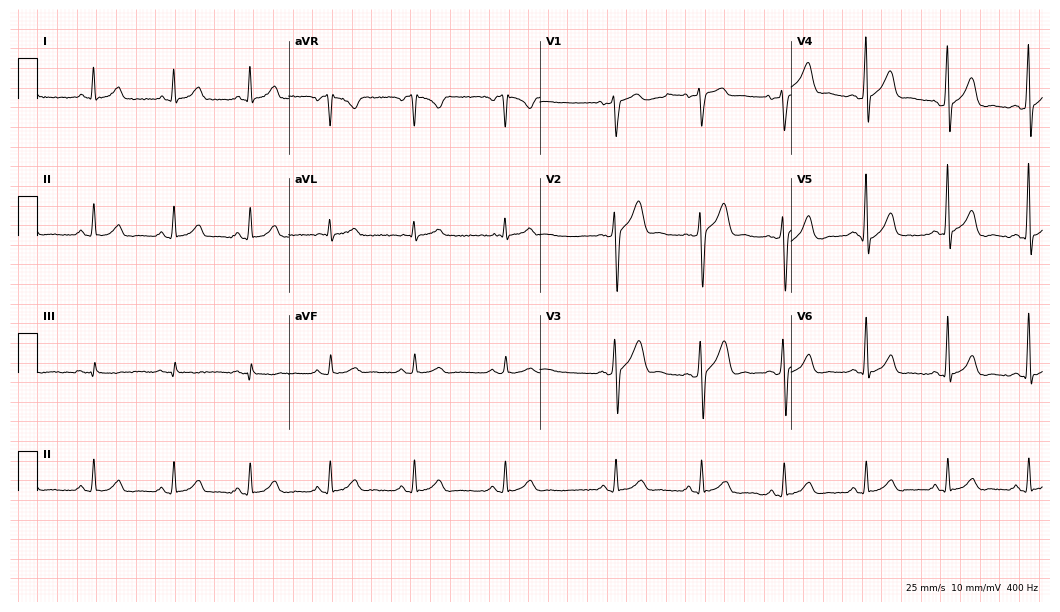
Electrocardiogram (10.2-second recording at 400 Hz), a male, 48 years old. Of the six screened findings (first-degree AV block, right bundle branch block, left bundle branch block, sinus bradycardia, atrial fibrillation, sinus tachycardia), none is recorded. Findings outside these six are not listed.